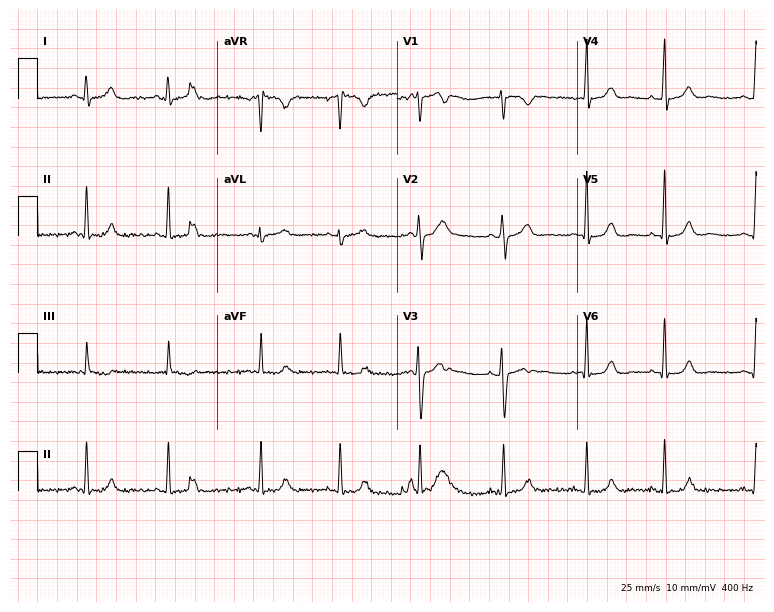
ECG (7.3-second recording at 400 Hz) — a 20-year-old female. Screened for six findings — first-degree AV block, right bundle branch block, left bundle branch block, sinus bradycardia, atrial fibrillation, sinus tachycardia — none is recorded. Other findings, if any, are not listed.